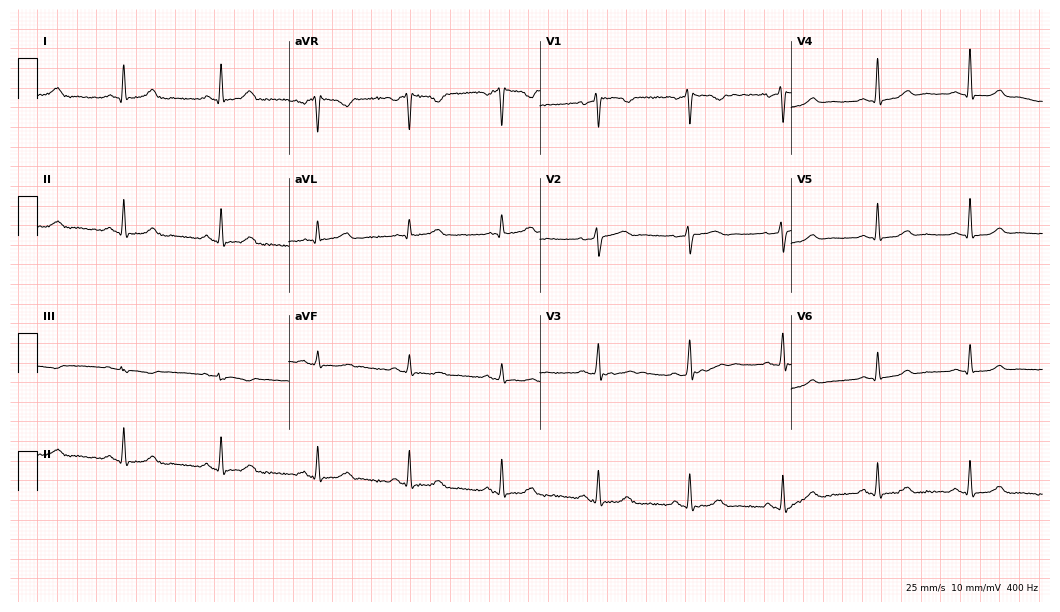
Resting 12-lead electrocardiogram (10.2-second recording at 400 Hz). Patient: a 45-year-old woman. None of these six findings is recorded: first-degree AV block, right bundle branch block, left bundle branch block, sinus bradycardia, atrial fibrillation, sinus tachycardia.